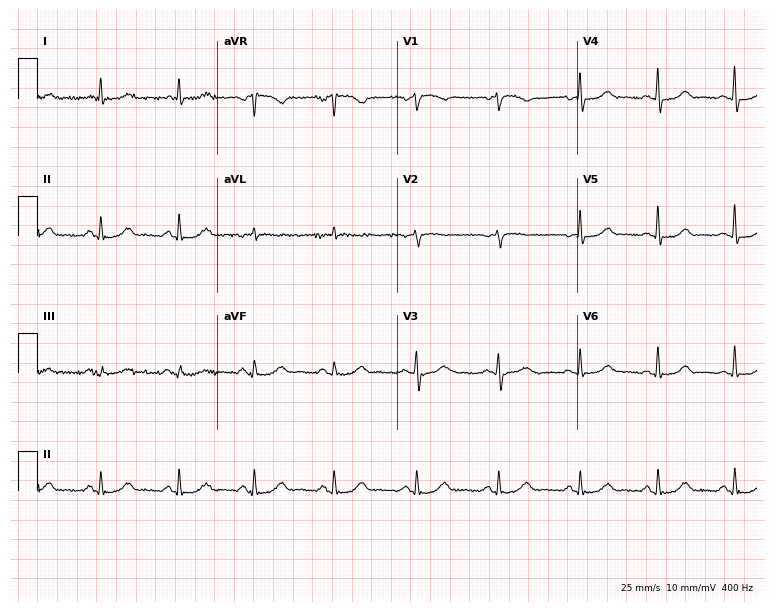
Electrocardiogram (7.3-second recording at 400 Hz), a 47-year-old woman. Overall reading on record: normal ECG.